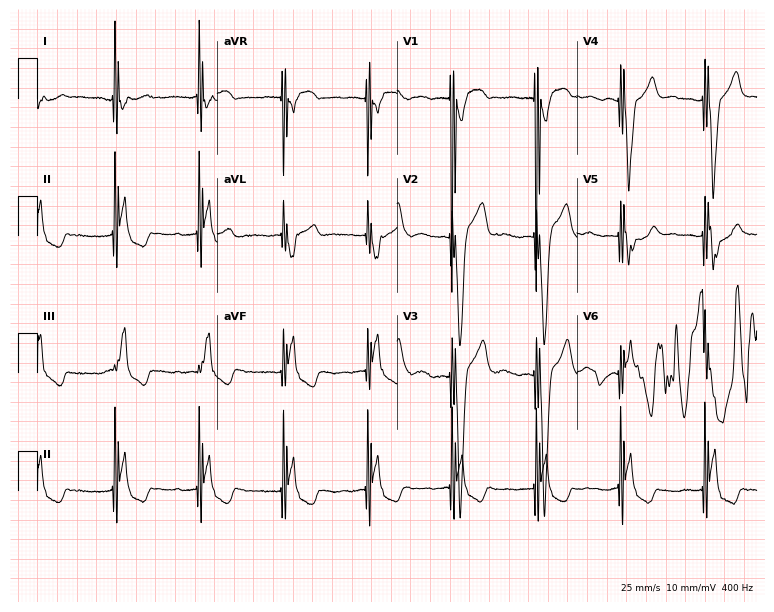
12-lead ECG from a male patient, 75 years old (7.3-second recording at 400 Hz). No first-degree AV block, right bundle branch block (RBBB), left bundle branch block (LBBB), sinus bradycardia, atrial fibrillation (AF) or sinus tachycardia recorded for this tracing. Other findings, if any, are not listed.